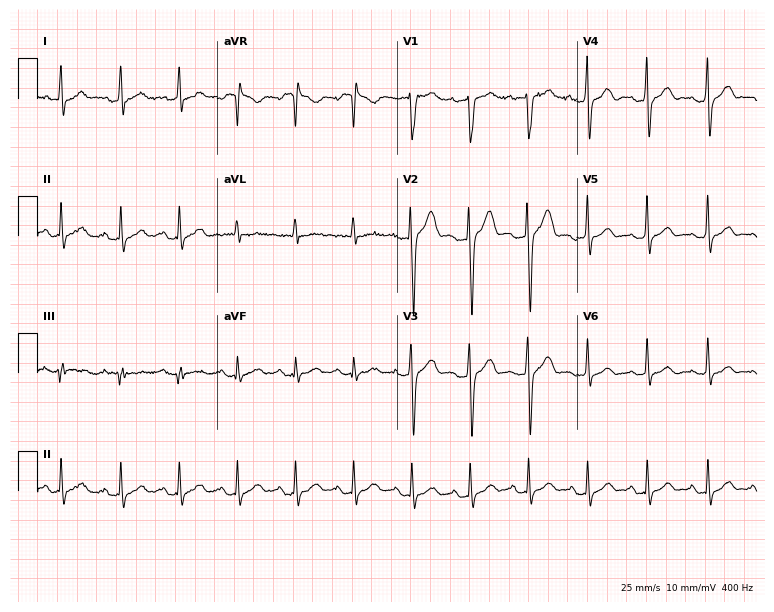
ECG (7.3-second recording at 400 Hz) — a man, 29 years old. Labelled as a normal ECG.